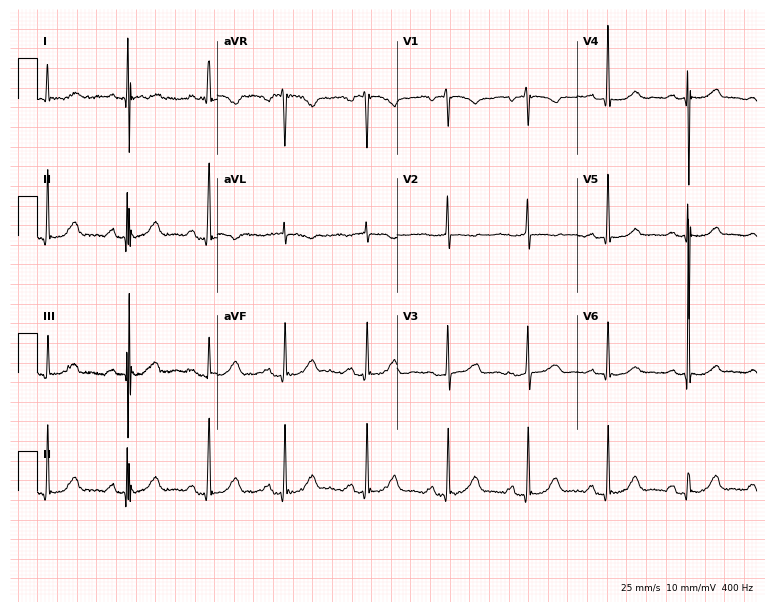
Resting 12-lead electrocardiogram. Patient: a 72-year-old female. Read as a normal ECG.